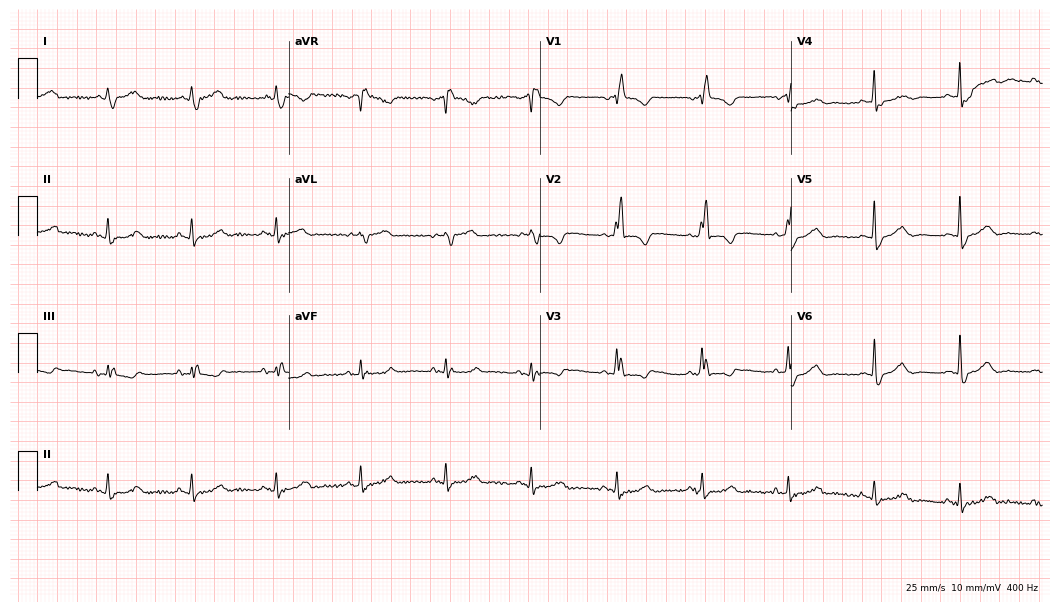
Resting 12-lead electrocardiogram. Patient: an 83-year-old woman. None of these six findings is recorded: first-degree AV block, right bundle branch block, left bundle branch block, sinus bradycardia, atrial fibrillation, sinus tachycardia. Only these six findings were labelled.